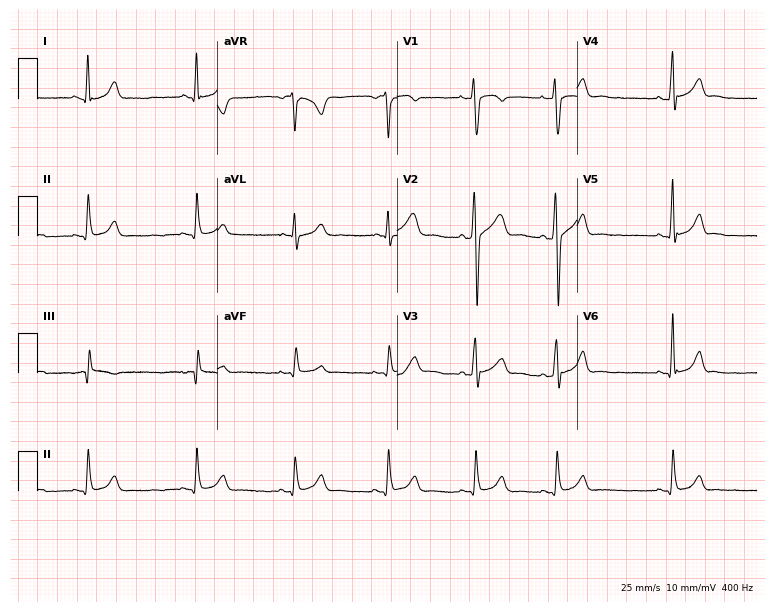
ECG — a 23-year-old male patient. Labelled as a normal ECG.